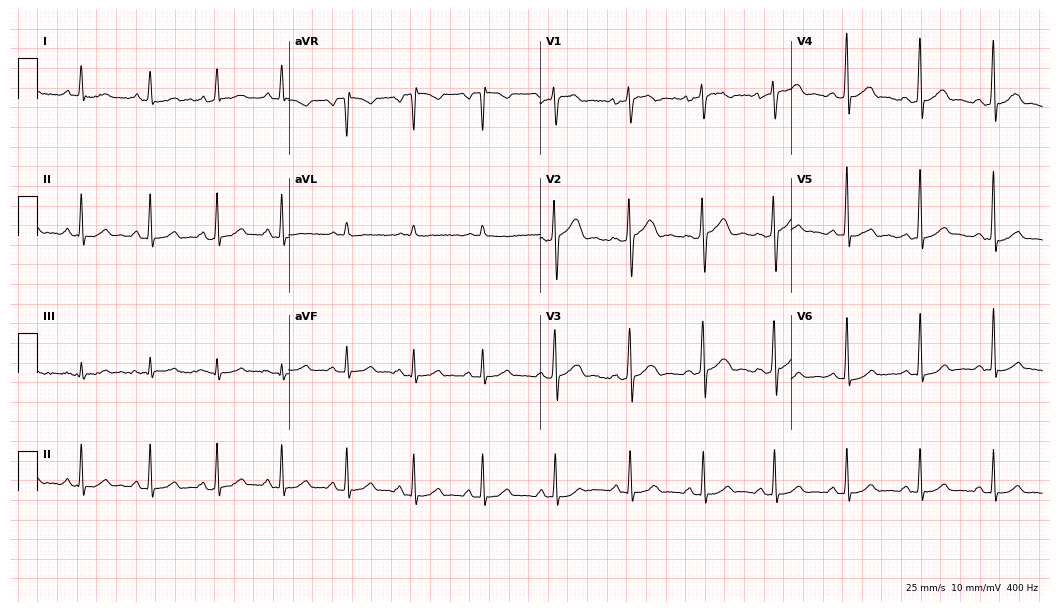
12-lead ECG (10.2-second recording at 400 Hz) from a man, 41 years old. Labelled as a normal ECG.